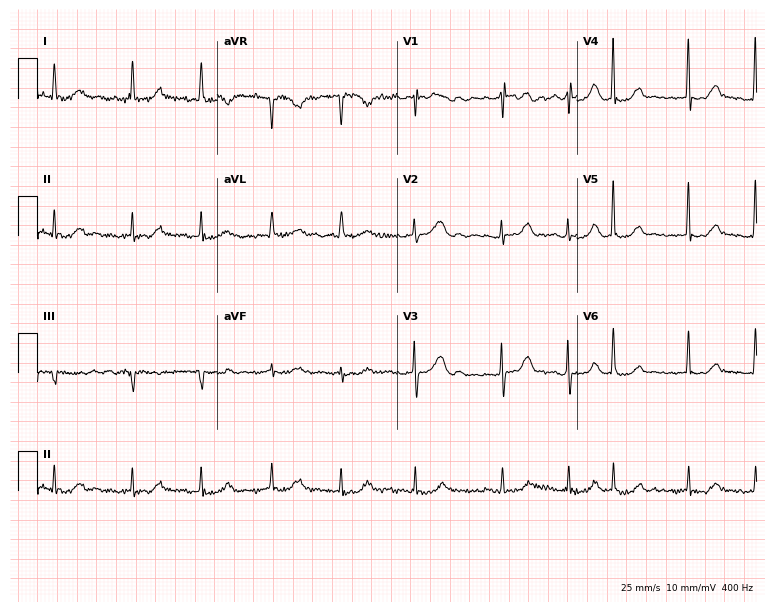
ECG (7.3-second recording at 400 Hz) — a 76-year-old female. Screened for six findings — first-degree AV block, right bundle branch block, left bundle branch block, sinus bradycardia, atrial fibrillation, sinus tachycardia — none is recorded. Findings outside these six are not listed.